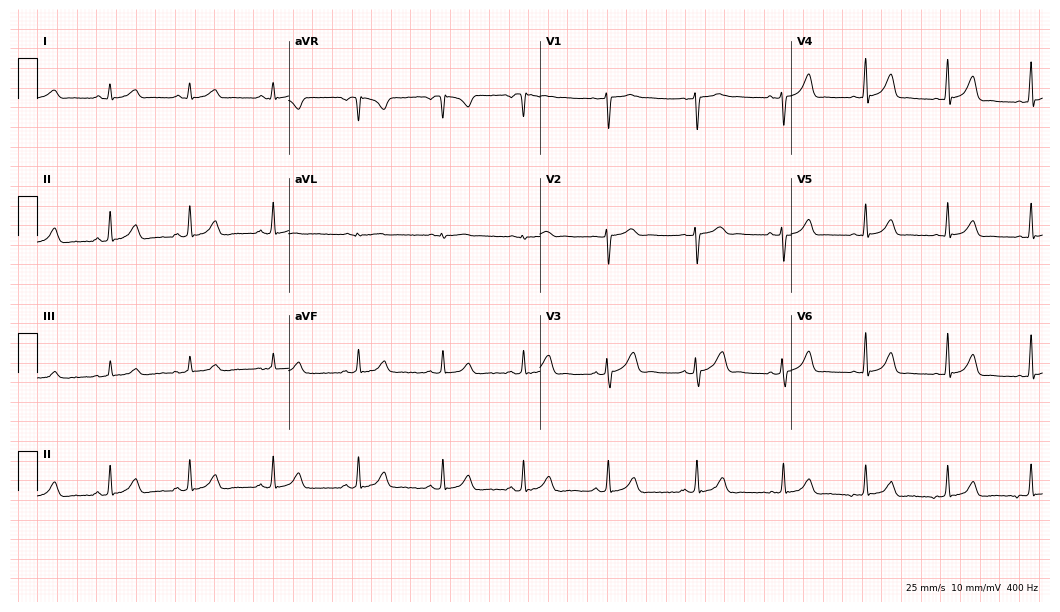
Electrocardiogram, a 32-year-old woman. Overall reading on record: normal ECG.